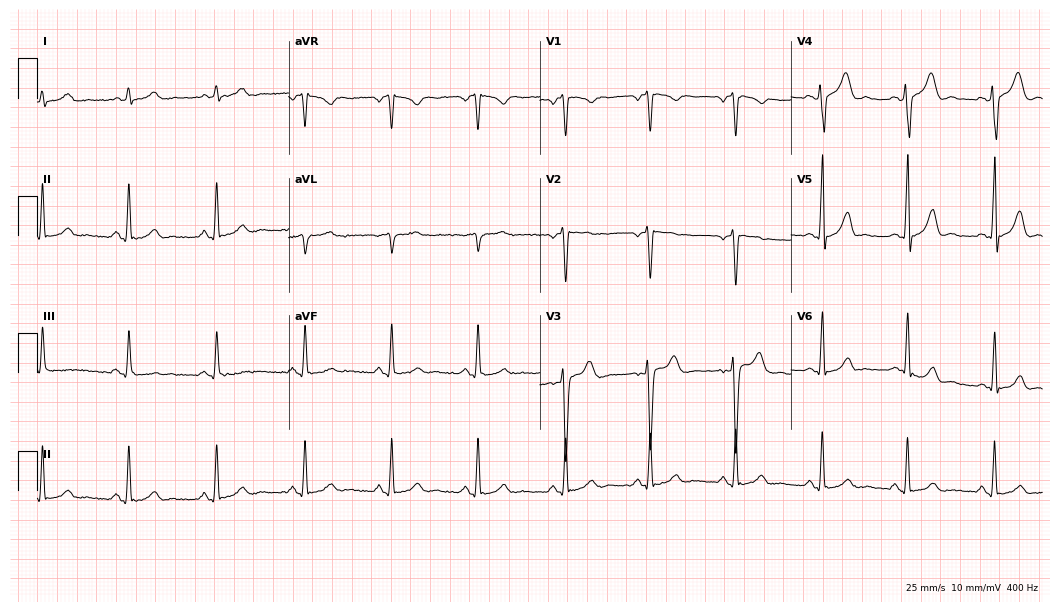
ECG — a 27-year-old man. Labelled as a normal ECG.